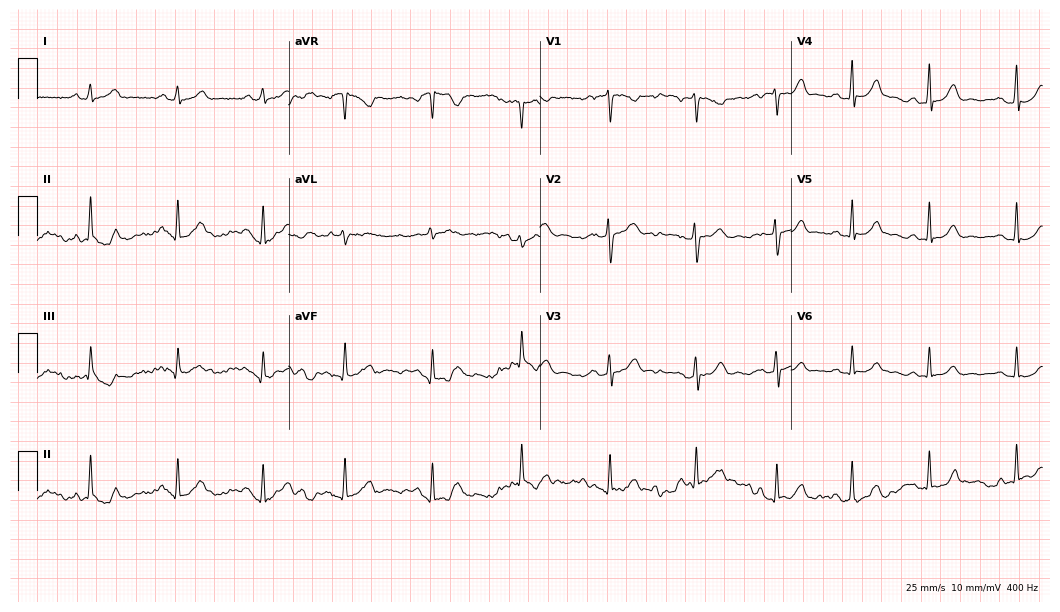
12-lead ECG from a 23-year-old female (10.2-second recording at 400 Hz). Recorded interpretation: within normal limits.